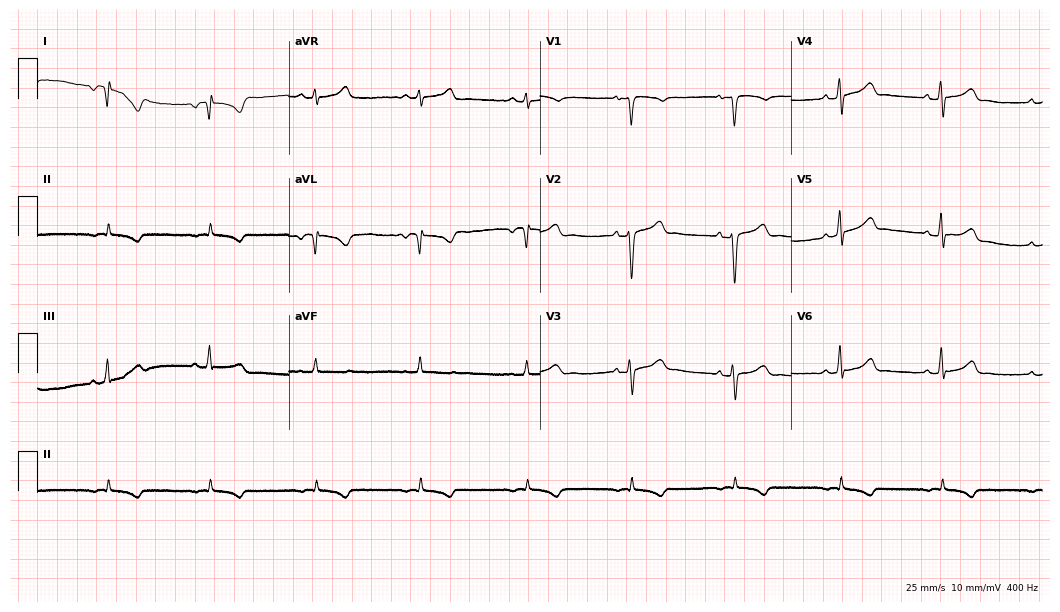
Resting 12-lead electrocardiogram. Patient: a female, 32 years old. None of these six findings is recorded: first-degree AV block, right bundle branch block, left bundle branch block, sinus bradycardia, atrial fibrillation, sinus tachycardia. Only these six findings were labelled.